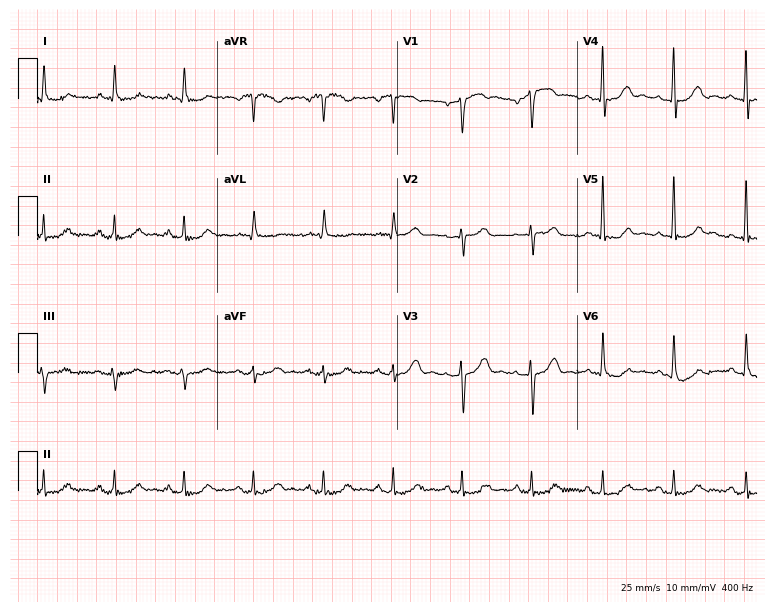
Standard 12-lead ECG recorded from a 74-year-old male patient (7.3-second recording at 400 Hz). Read as a normal ECG.